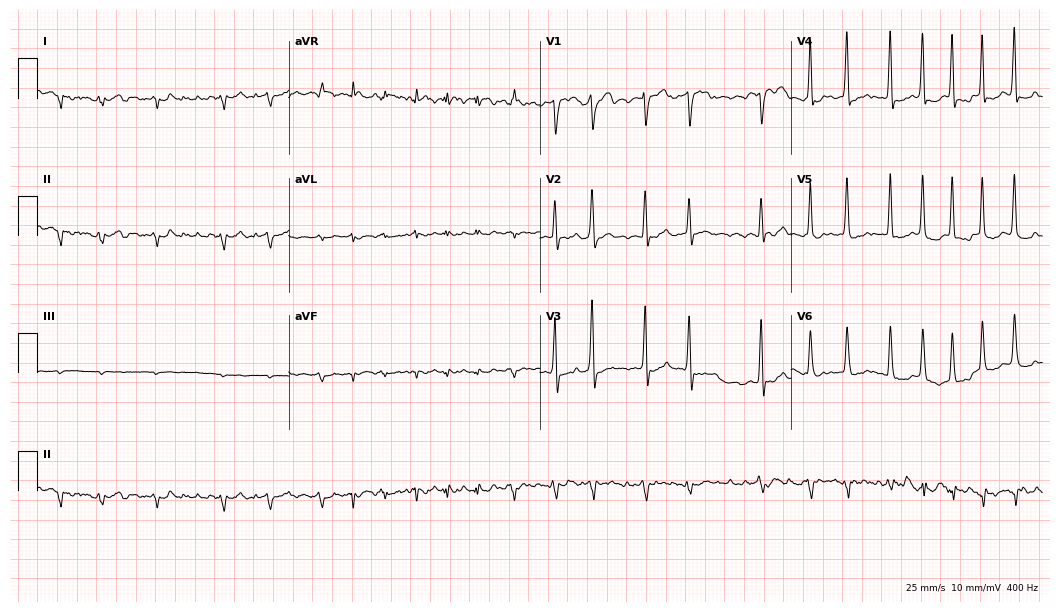
ECG — a man, 77 years old. Findings include atrial fibrillation.